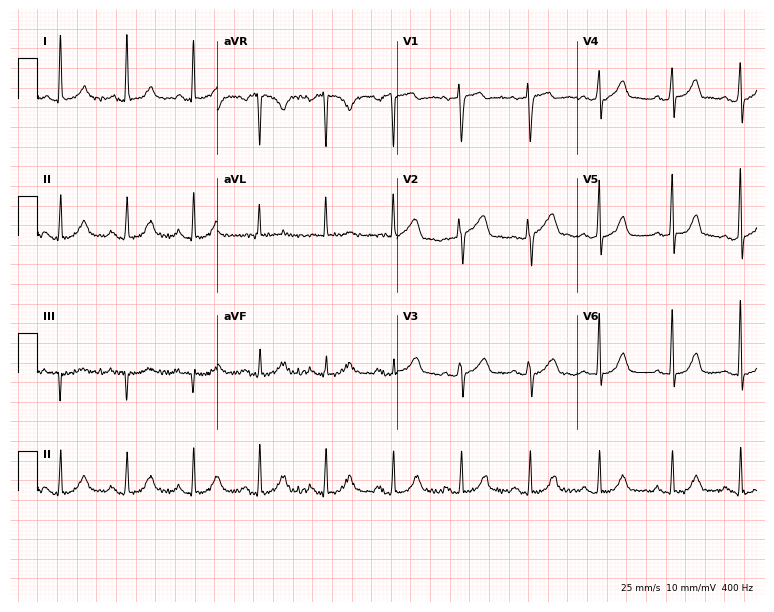
12-lead ECG from a 62-year-old female patient. Recorded interpretation: within normal limits.